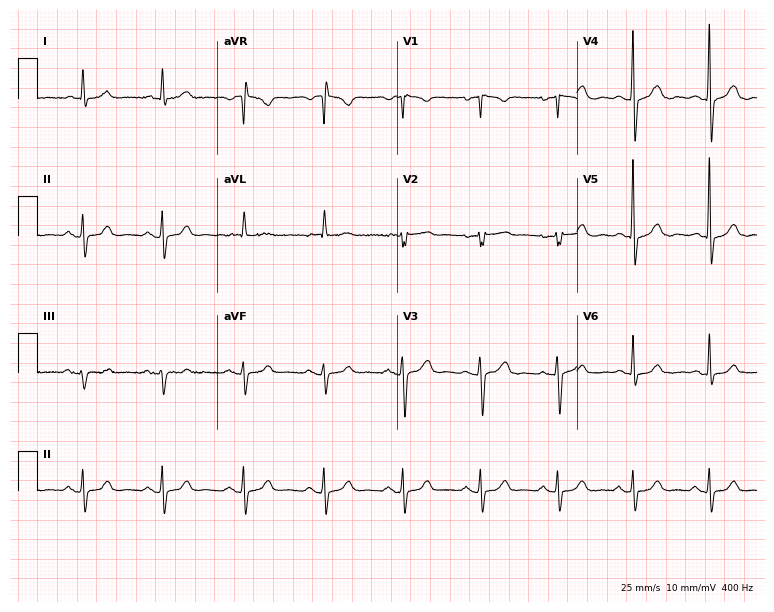
Standard 12-lead ECG recorded from a woman, 73 years old. None of these six findings is recorded: first-degree AV block, right bundle branch block, left bundle branch block, sinus bradycardia, atrial fibrillation, sinus tachycardia.